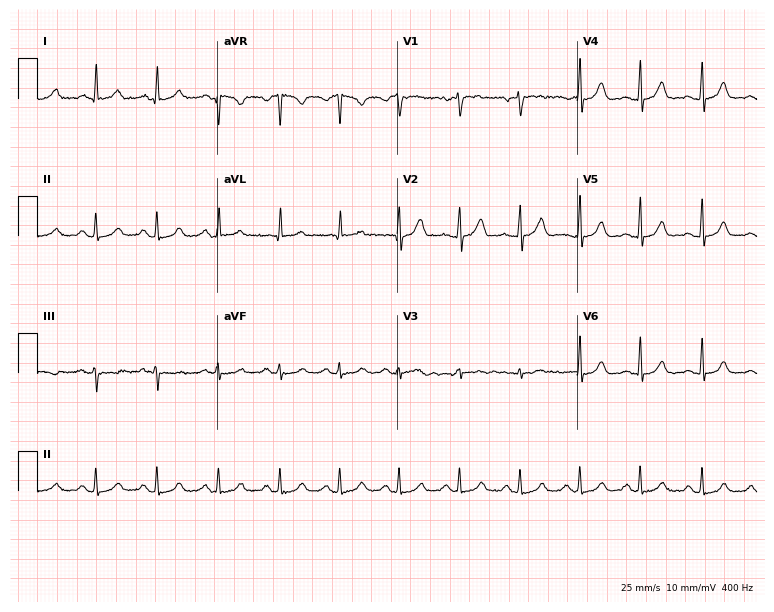
12-lead ECG (7.3-second recording at 400 Hz) from a 34-year-old female patient. Labelled as a normal ECG.